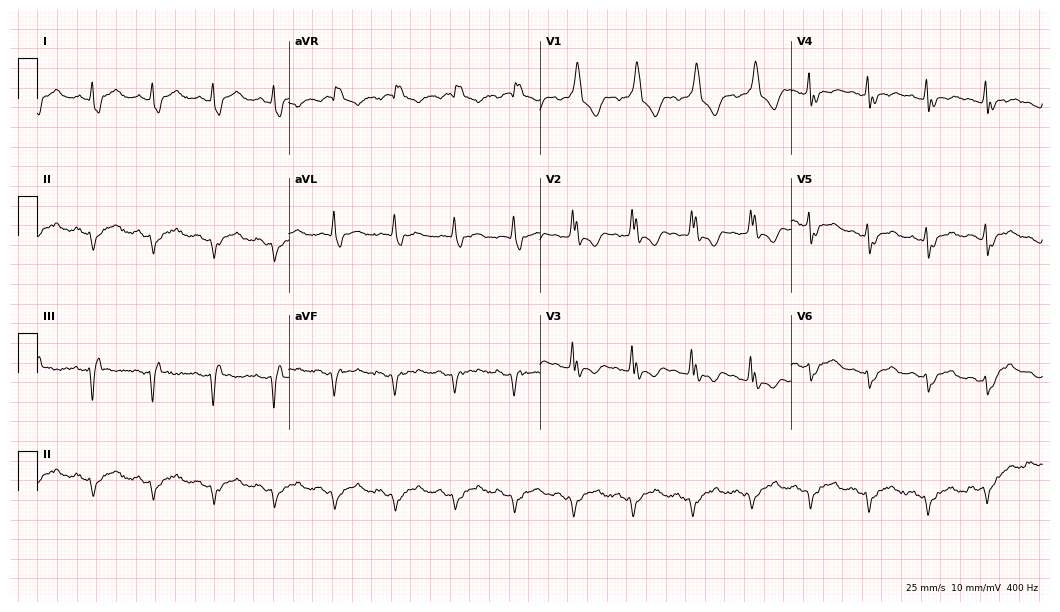
12-lead ECG from a man, 55 years old. Findings include right bundle branch block.